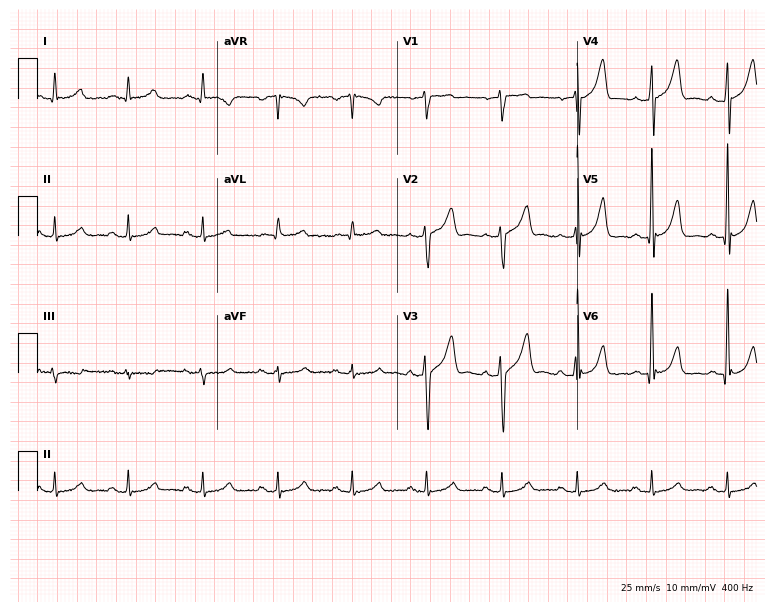
12-lead ECG from a 59-year-old man (7.3-second recording at 400 Hz). Recorded interpretation: within normal limits.